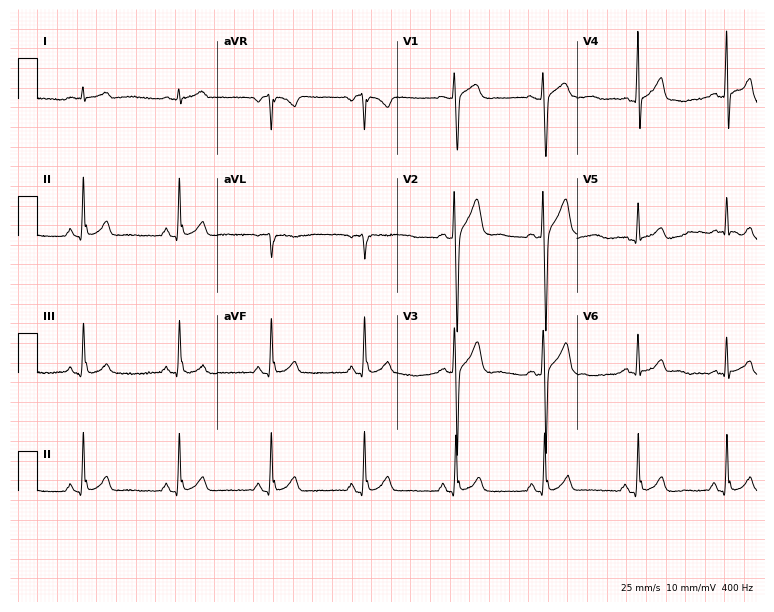
ECG (7.3-second recording at 400 Hz) — a 32-year-old man. Labelled as a normal ECG.